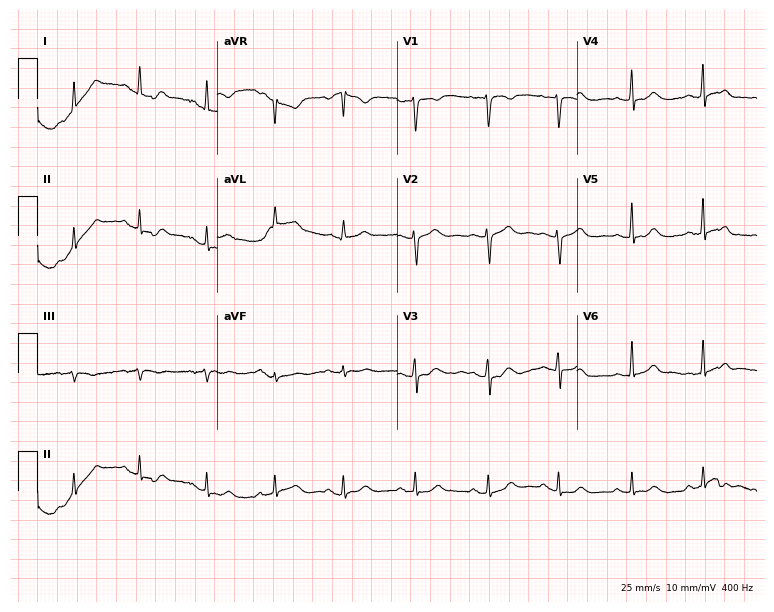
Resting 12-lead electrocardiogram (7.3-second recording at 400 Hz). Patient: a 33-year-old female. None of these six findings is recorded: first-degree AV block, right bundle branch block (RBBB), left bundle branch block (LBBB), sinus bradycardia, atrial fibrillation (AF), sinus tachycardia.